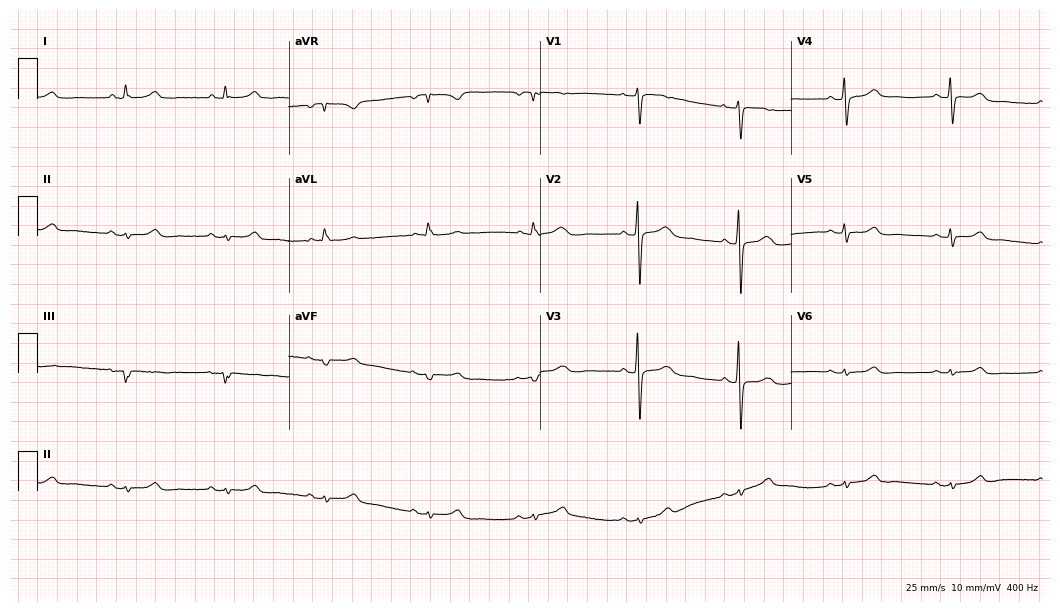
12-lead ECG from a 65-year-old woman. No first-degree AV block, right bundle branch block, left bundle branch block, sinus bradycardia, atrial fibrillation or sinus tachycardia recorded for this tracing. Only these six findings were labelled.